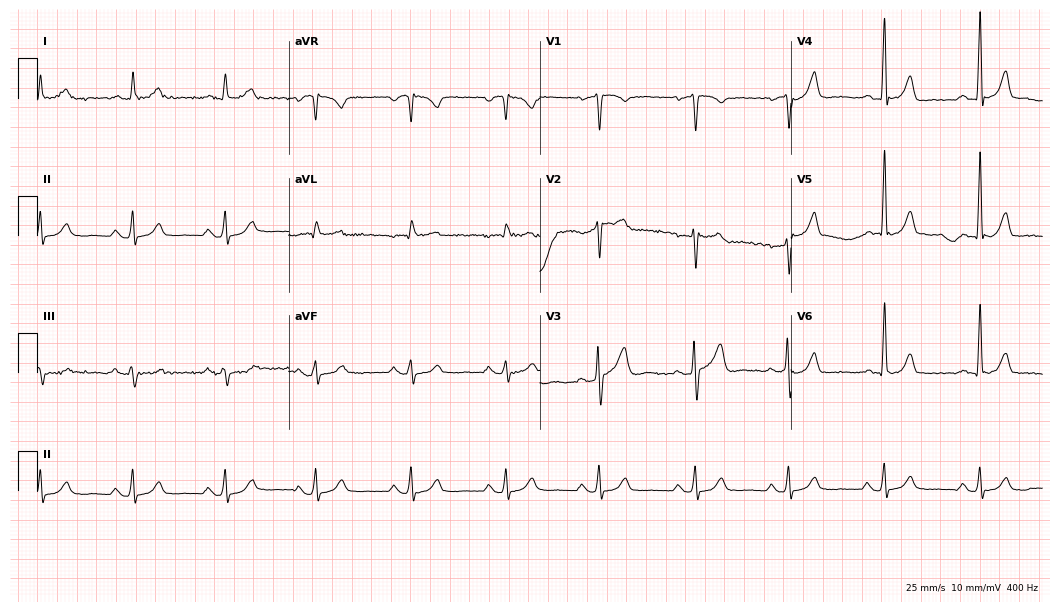
ECG (10.2-second recording at 400 Hz) — a 56-year-old male patient. Labelled as a normal ECG.